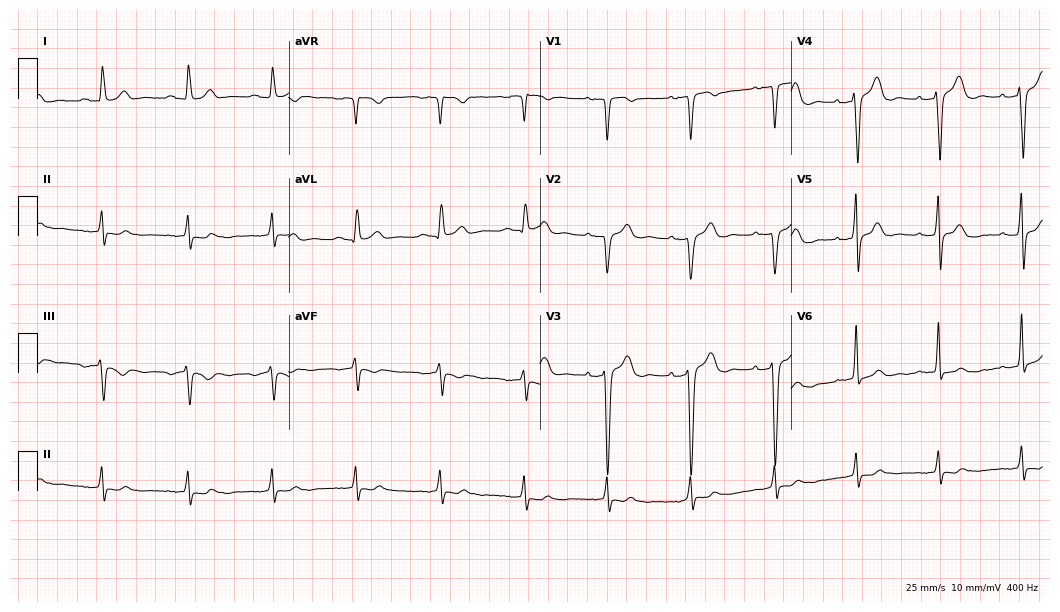
Standard 12-lead ECG recorded from a male, 55 years old. None of these six findings is recorded: first-degree AV block, right bundle branch block, left bundle branch block, sinus bradycardia, atrial fibrillation, sinus tachycardia. Other findings, if any, are not listed.